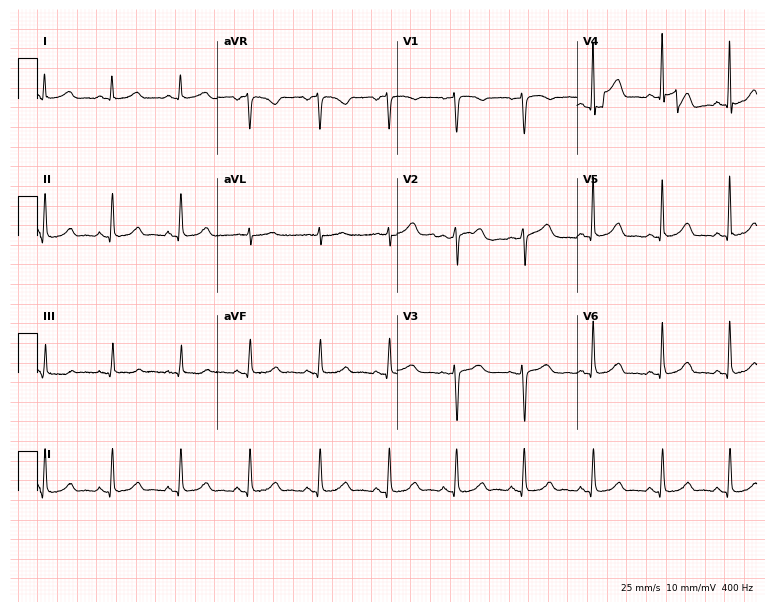
12-lead ECG from a female, 35 years old (7.3-second recording at 400 Hz). Recorded interpretation: within normal limits.